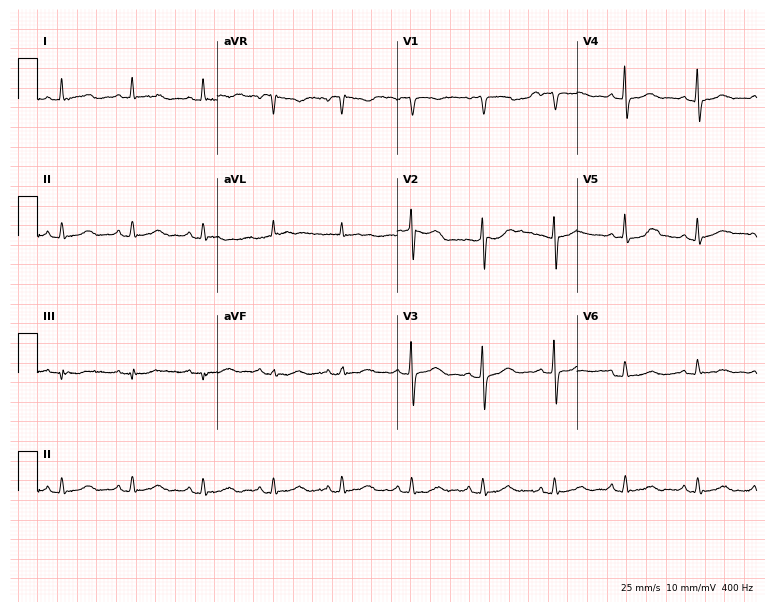
Standard 12-lead ECG recorded from a 58-year-old female patient. Read as a normal ECG.